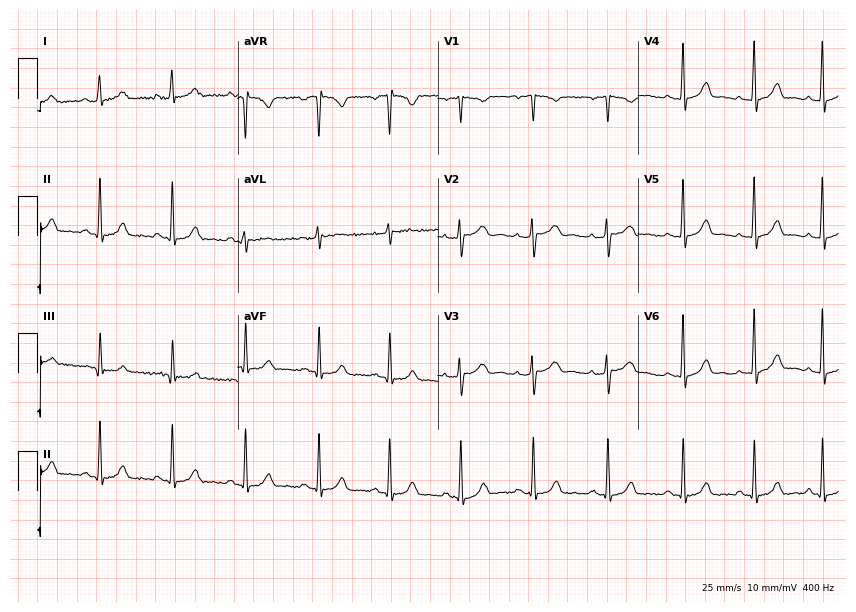
ECG (8.2-second recording at 400 Hz) — a 33-year-old female patient. Labelled as a normal ECG.